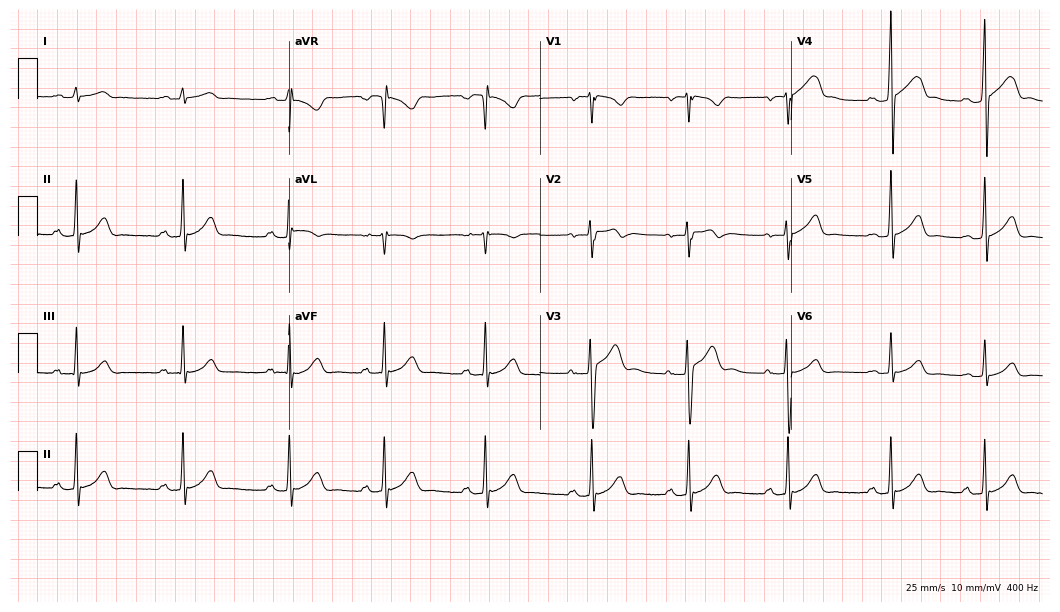
12-lead ECG (10.2-second recording at 400 Hz) from a male patient, 19 years old. Labelled as a normal ECG.